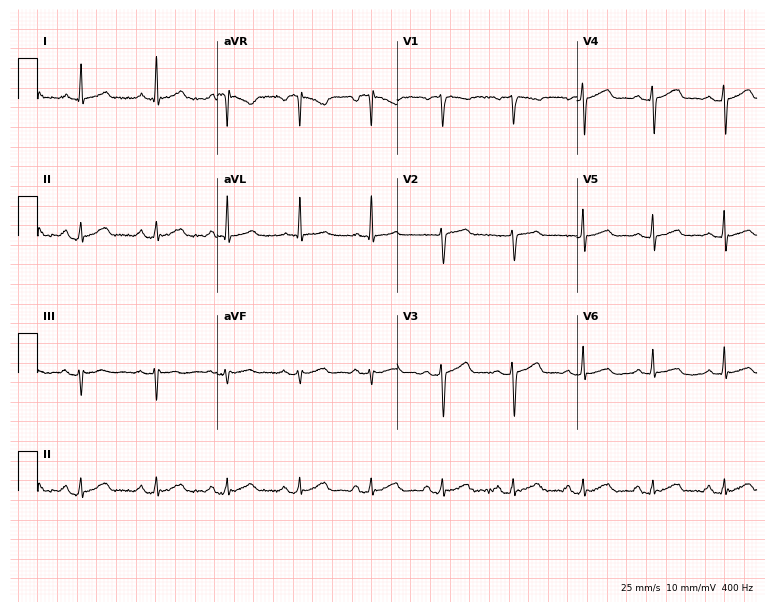
12-lead ECG from a woman, 45 years old. No first-degree AV block, right bundle branch block (RBBB), left bundle branch block (LBBB), sinus bradycardia, atrial fibrillation (AF) or sinus tachycardia recorded for this tracing.